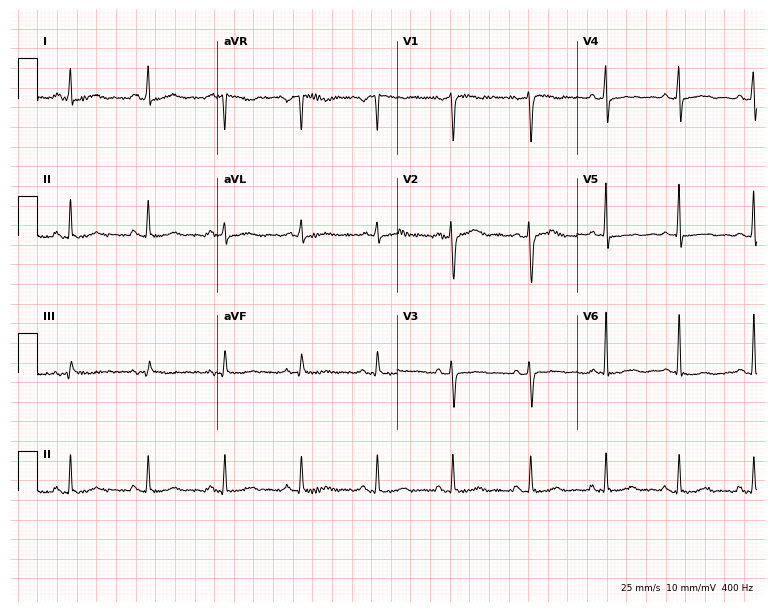
Resting 12-lead electrocardiogram. Patient: a woman, 29 years old. None of these six findings is recorded: first-degree AV block, right bundle branch block, left bundle branch block, sinus bradycardia, atrial fibrillation, sinus tachycardia. Other findings, if any, are not listed.